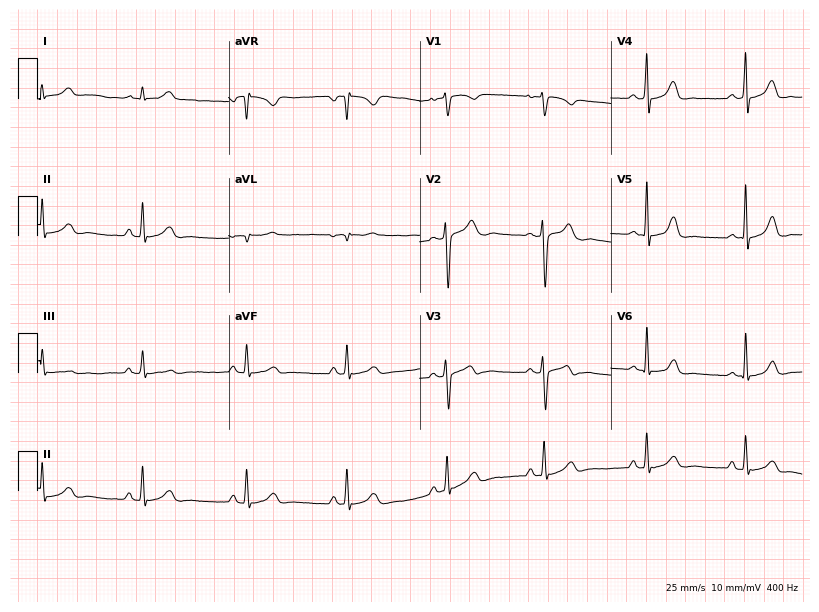
Electrocardiogram, an 18-year-old woman. Of the six screened findings (first-degree AV block, right bundle branch block, left bundle branch block, sinus bradycardia, atrial fibrillation, sinus tachycardia), none is recorded.